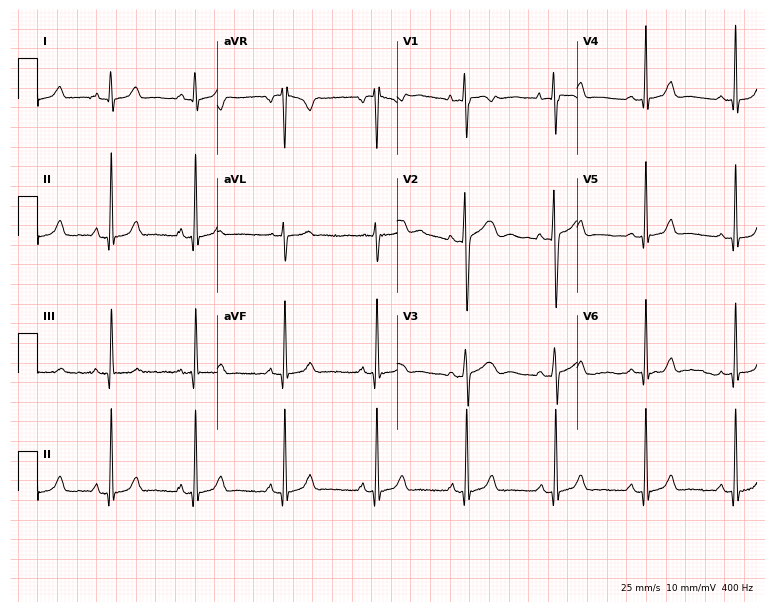
12-lead ECG from a 20-year-old female (7.3-second recording at 400 Hz). Recorded interpretation: within normal limits.